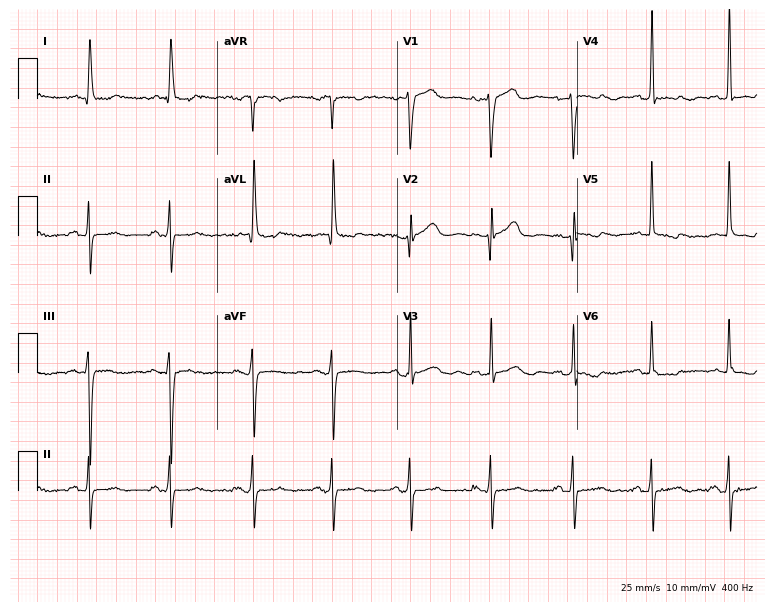
ECG (7.3-second recording at 400 Hz) — a female, 70 years old. Screened for six findings — first-degree AV block, right bundle branch block, left bundle branch block, sinus bradycardia, atrial fibrillation, sinus tachycardia — none is recorded. Only these six findings were labelled.